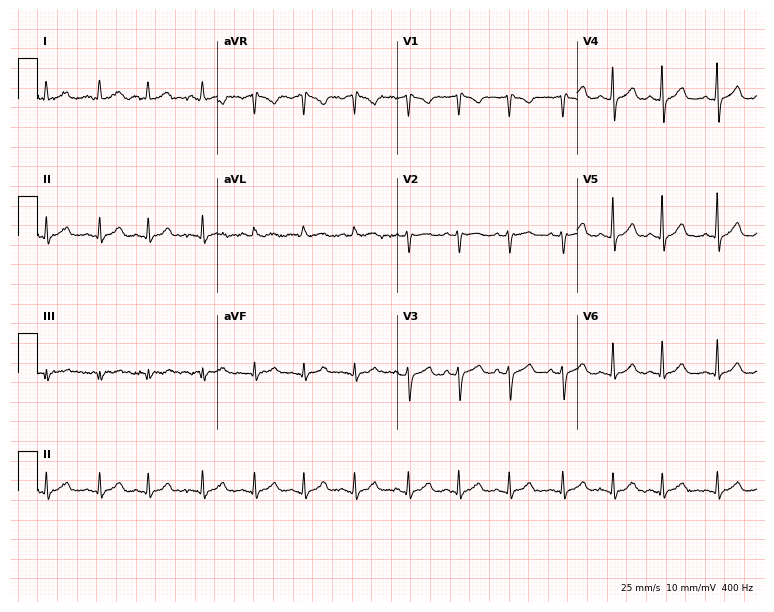
12-lead ECG from a female, 69 years old. Findings include sinus tachycardia (a sinus rate of 100 beats per minute or more).